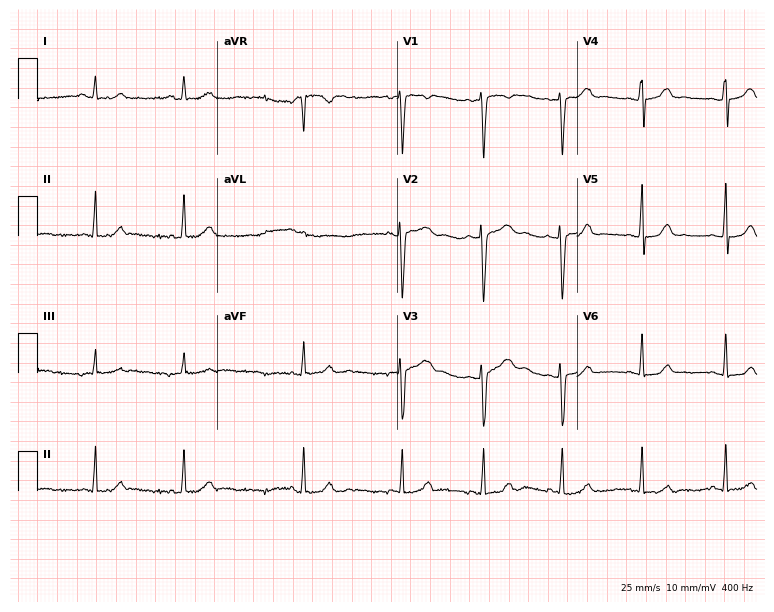
Standard 12-lead ECG recorded from an 18-year-old female (7.3-second recording at 400 Hz). None of these six findings is recorded: first-degree AV block, right bundle branch block (RBBB), left bundle branch block (LBBB), sinus bradycardia, atrial fibrillation (AF), sinus tachycardia.